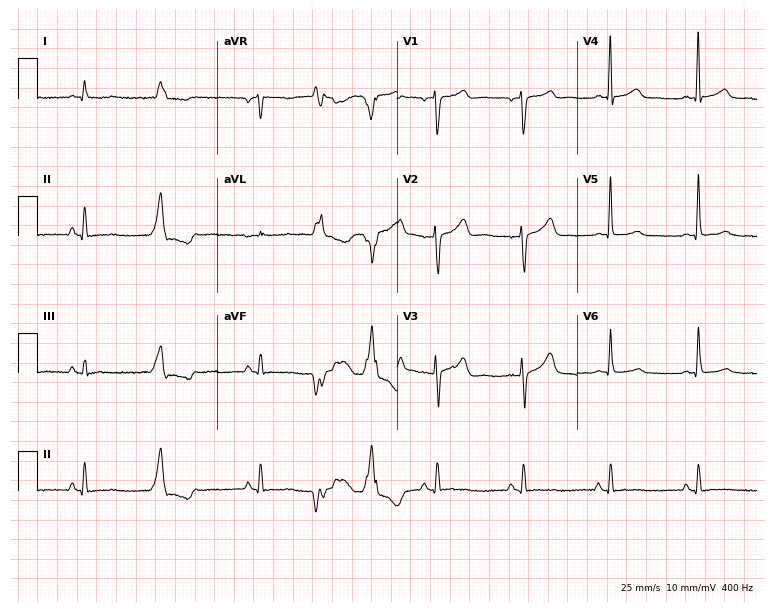
ECG — a male, 75 years old. Screened for six findings — first-degree AV block, right bundle branch block (RBBB), left bundle branch block (LBBB), sinus bradycardia, atrial fibrillation (AF), sinus tachycardia — none is recorded. Findings outside these six are not listed.